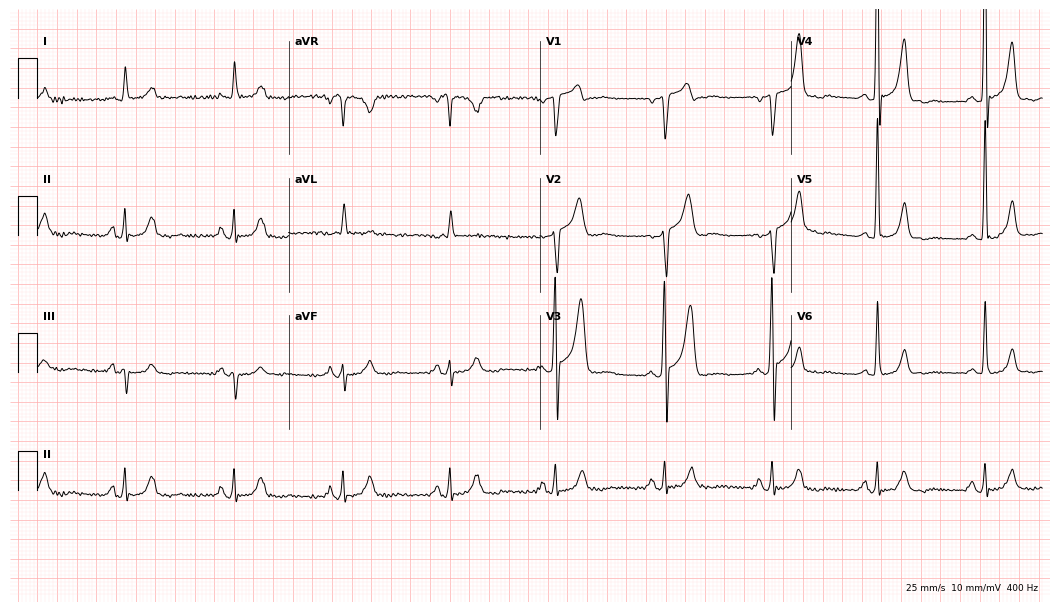
12-lead ECG from a 59-year-old male patient. Labelled as a normal ECG.